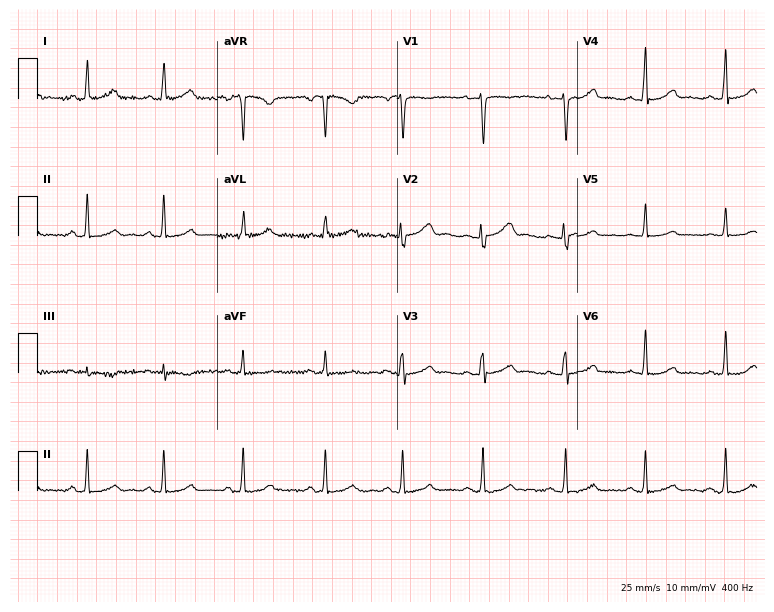
12-lead ECG from a 39-year-old woman. Screened for six findings — first-degree AV block, right bundle branch block, left bundle branch block, sinus bradycardia, atrial fibrillation, sinus tachycardia — none is recorded.